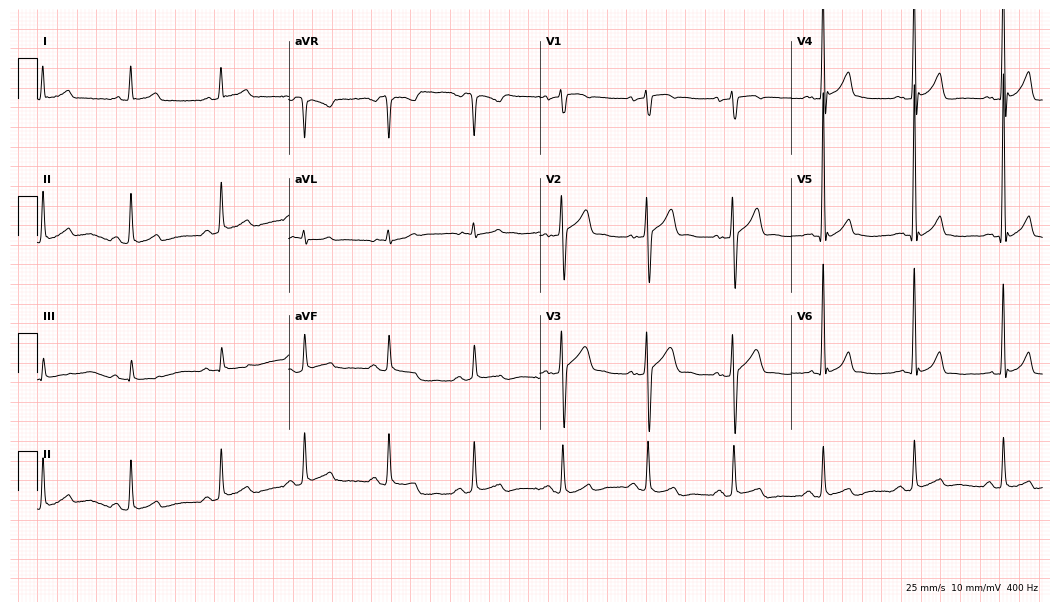
12-lead ECG from a 26-year-old male (10.2-second recording at 400 Hz). Recorded interpretation: within normal limits.